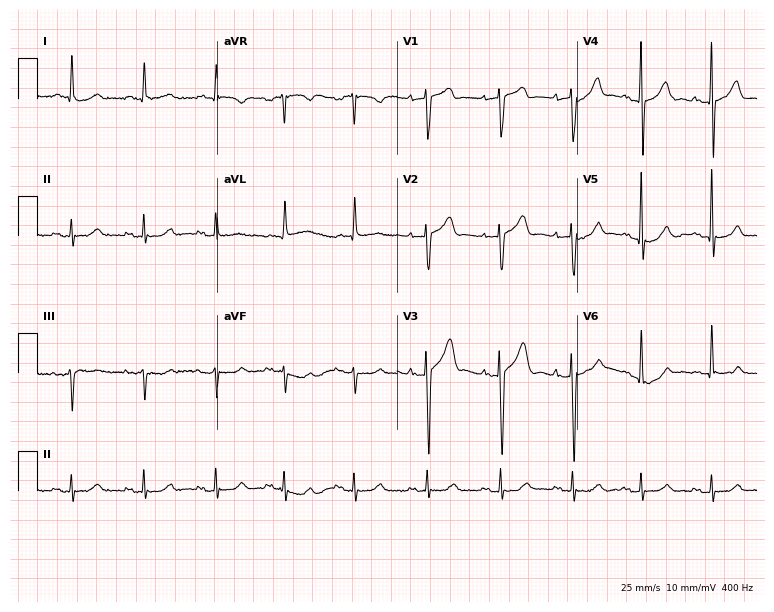
Resting 12-lead electrocardiogram. Patient: an 81-year-old man. None of these six findings is recorded: first-degree AV block, right bundle branch block, left bundle branch block, sinus bradycardia, atrial fibrillation, sinus tachycardia. Findings outside these six are not listed.